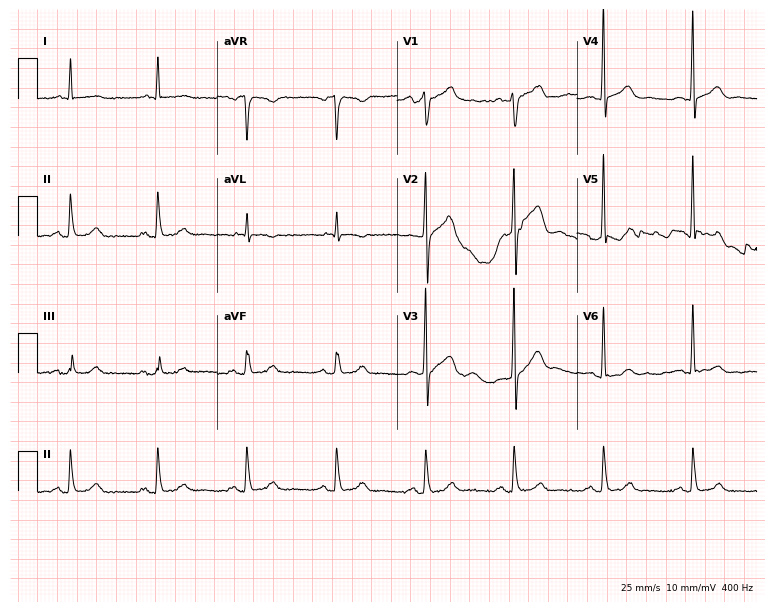
ECG (7.3-second recording at 400 Hz) — a male, 73 years old. Screened for six findings — first-degree AV block, right bundle branch block (RBBB), left bundle branch block (LBBB), sinus bradycardia, atrial fibrillation (AF), sinus tachycardia — none is recorded.